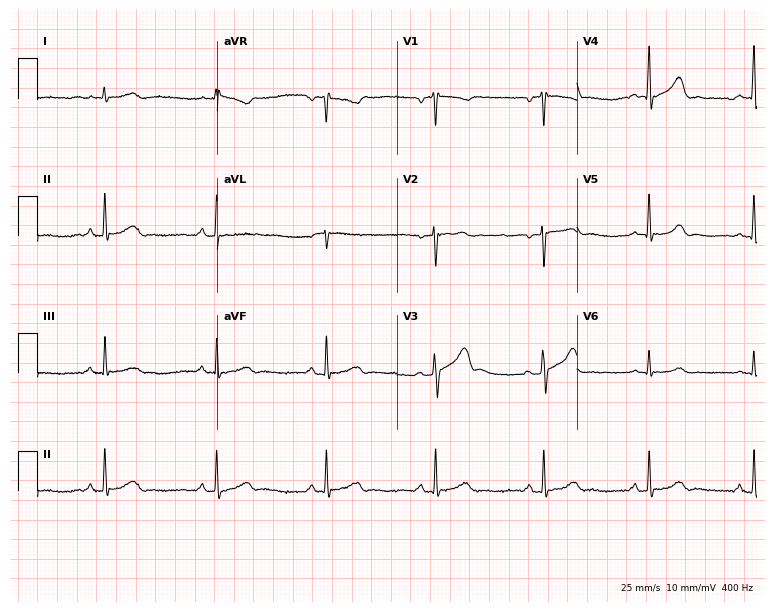
12-lead ECG from a 26-year-old male patient. Recorded interpretation: within normal limits.